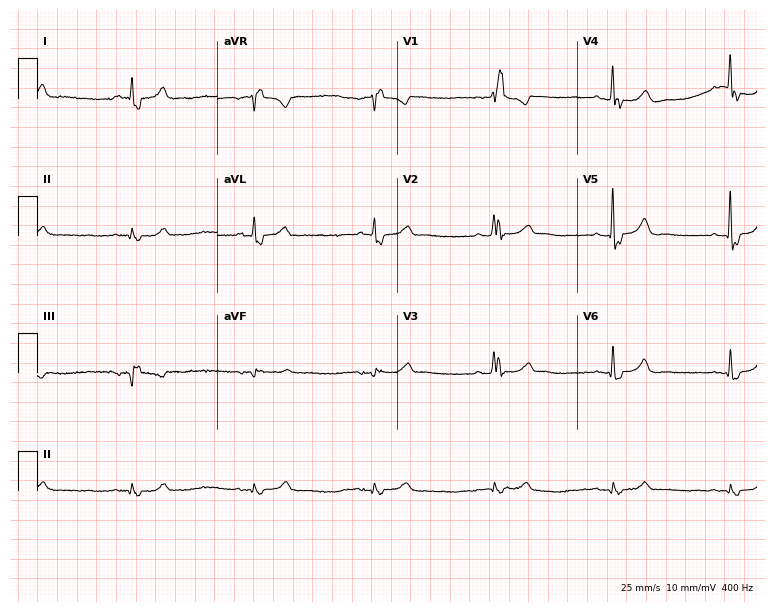
ECG — a man, 72 years old. Findings include right bundle branch block, sinus bradycardia (a sinus rate of 50 beats per minute or less).